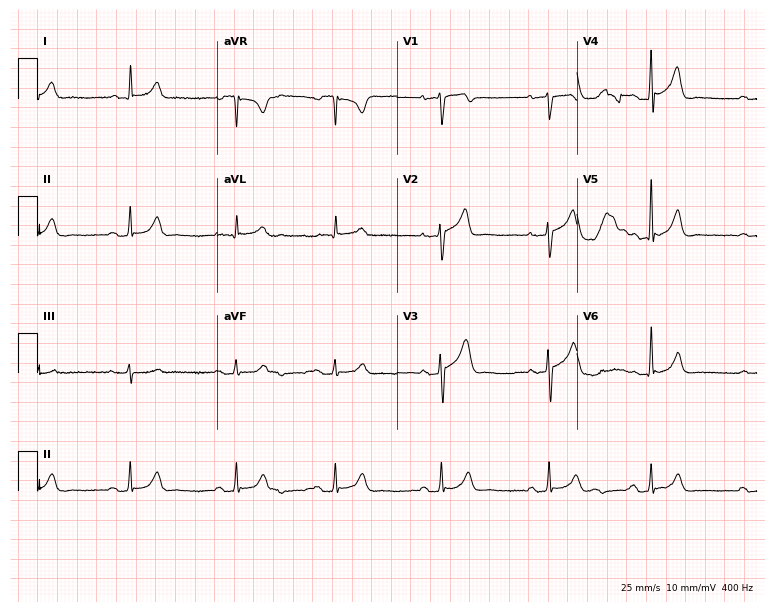
Resting 12-lead electrocardiogram. Patient: a male, 80 years old. None of these six findings is recorded: first-degree AV block, right bundle branch block (RBBB), left bundle branch block (LBBB), sinus bradycardia, atrial fibrillation (AF), sinus tachycardia. Only these six findings were labelled.